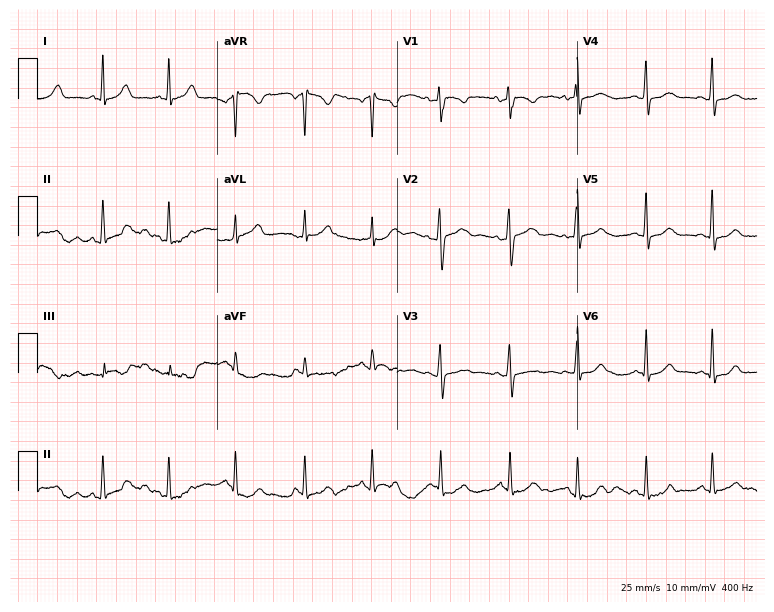
Electrocardiogram, a woman, 32 years old. Overall reading on record: normal ECG.